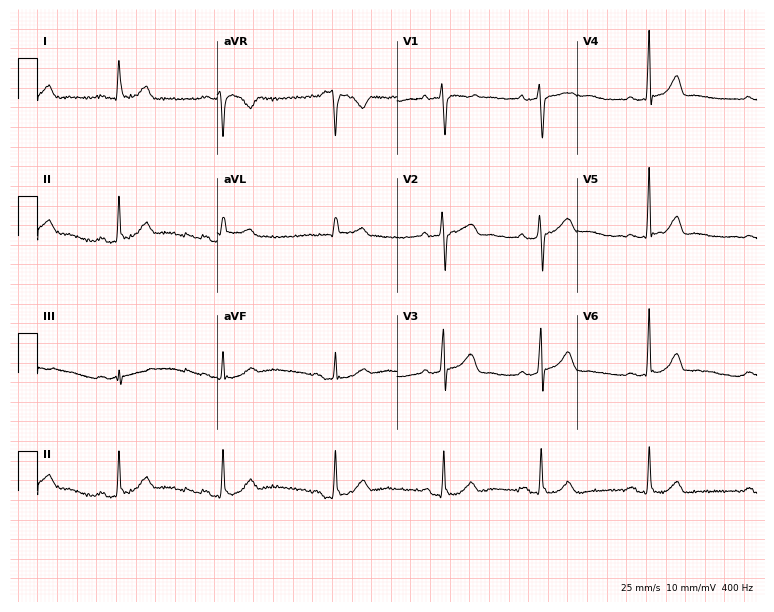
12-lead ECG from a 58-year-old woman. Labelled as a normal ECG.